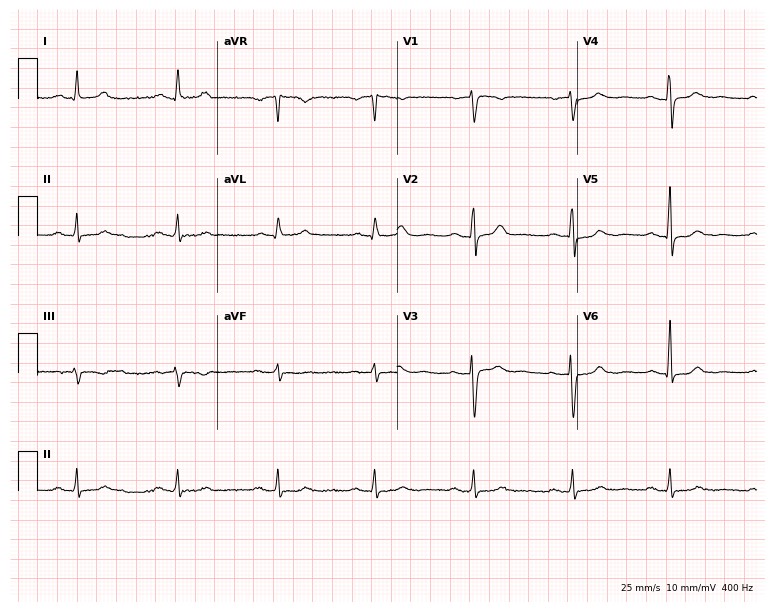
Standard 12-lead ECG recorded from a 64-year-old woman. None of these six findings is recorded: first-degree AV block, right bundle branch block, left bundle branch block, sinus bradycardia, atrial fibrillation, sinus tachycardia.